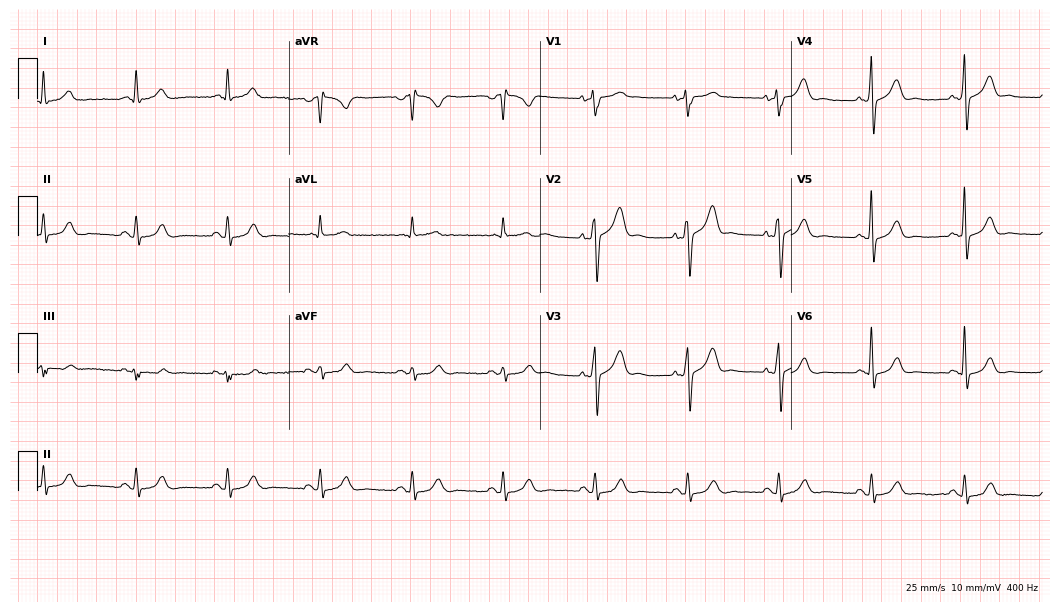
ECG (10.2-second recording at 400 Hz) — a male patient, 53 years old. Labelled as a normal ECG.